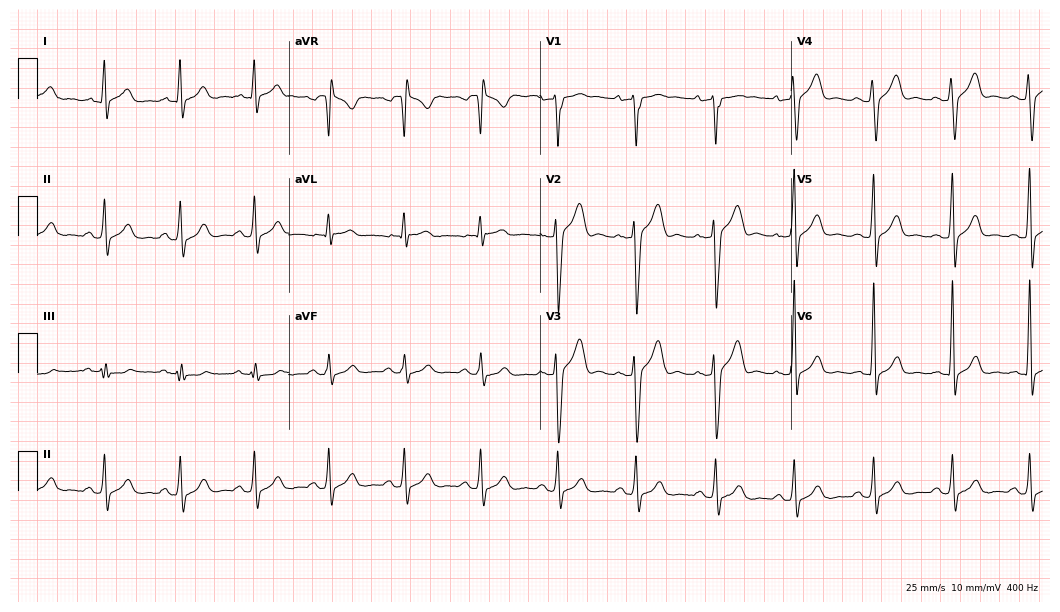
12-lead ECG from a 31-year-old man (10.2-second recording at 400 Hz). Recorded interpretation: within normal limits.